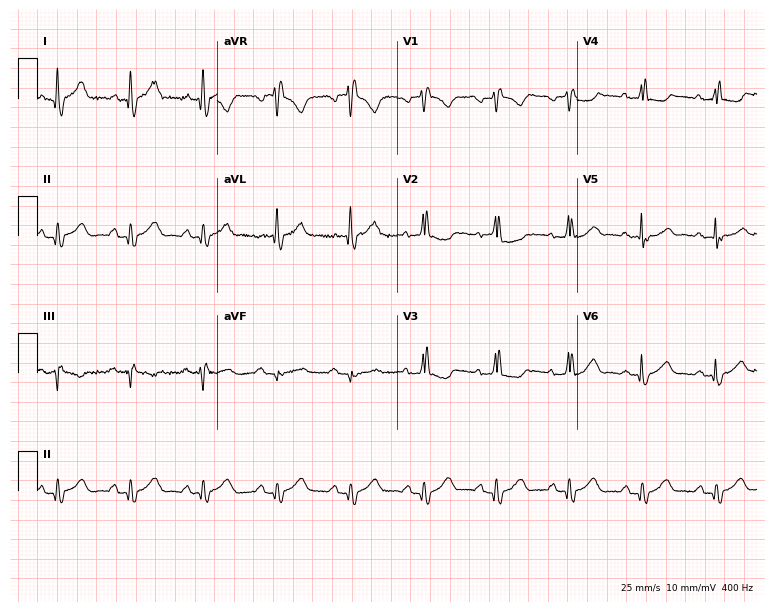
ECG — a 69-year-old man. Screened for six findings — first-degree AV block, right bundle branch block (RBBB), left bundle branch block (LBBB), sinus bradycardia, atrial fibrillation (AF), sinus tachycardia — none is recorded. Other findings, if any, are not listed.